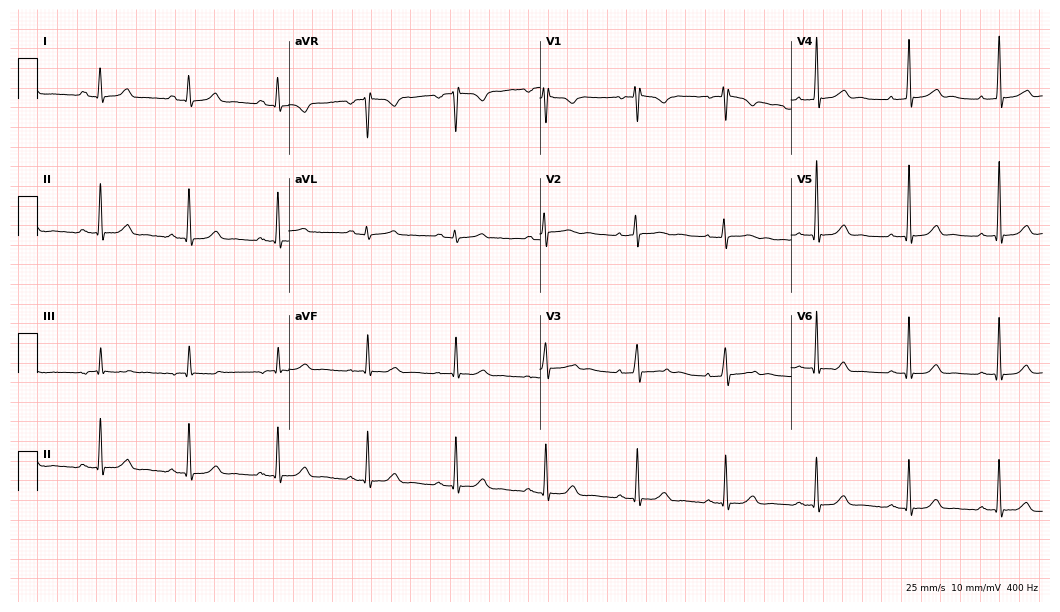
Resting 12-lead electrocardiogram (10.2-second recording at 400 Hz). Patient: a 42-year-old female. None of these six findings is recorded: first-degree AV block, right bundle branch block, left bundle branch block, sinus bradycardia, atrial fibrillation, sinus tachycardia.